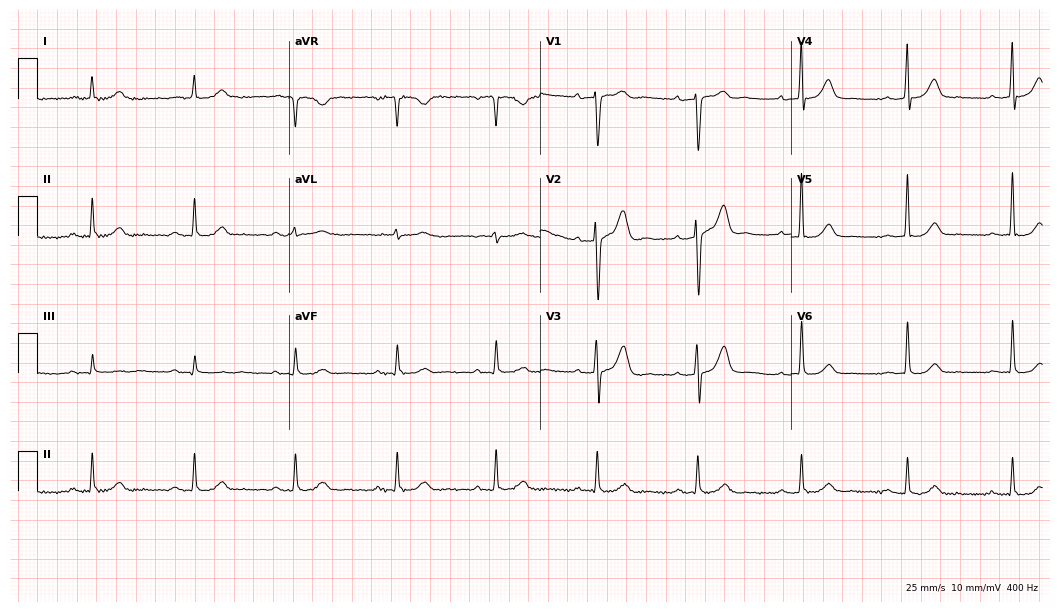
Standard 12-lead ECG recorded from a 76-year-old male (10.2-second recording at 400 Hz). None of these six findings is recorded: first-degree AV block, right bundle branch block, left bundle branch block, sinus bradycardia, atrial fibrillation, sinus tachycardia.